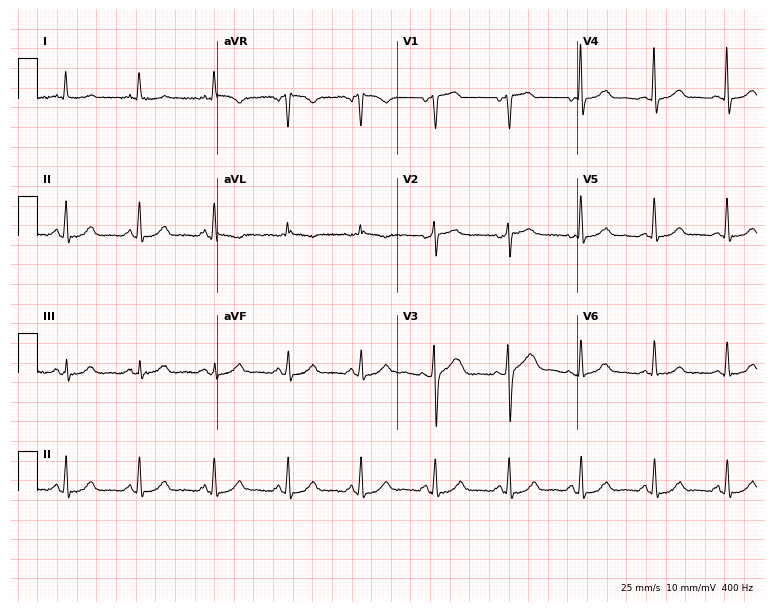
Resting 12-lead electrocardiogram. Patient: a female, 68 years old. Read as a normal ECG.